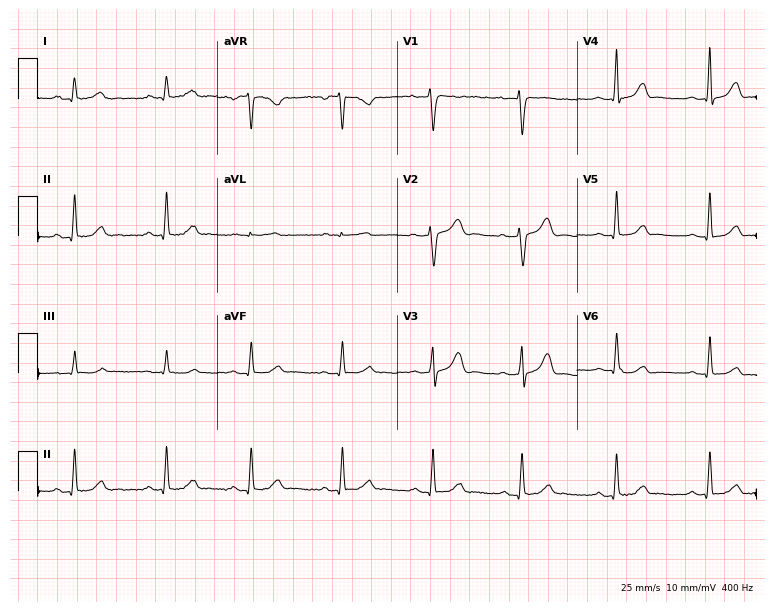
Standard 12-lead ECG recorded from a female, 39 years old. None of these six findings is recorded: first-degree AV block, right bundle branch block, left bundle branch block, sinus bradycardia, atrial fibrillation, sinus tachycardia. Only these six findings were labelled.